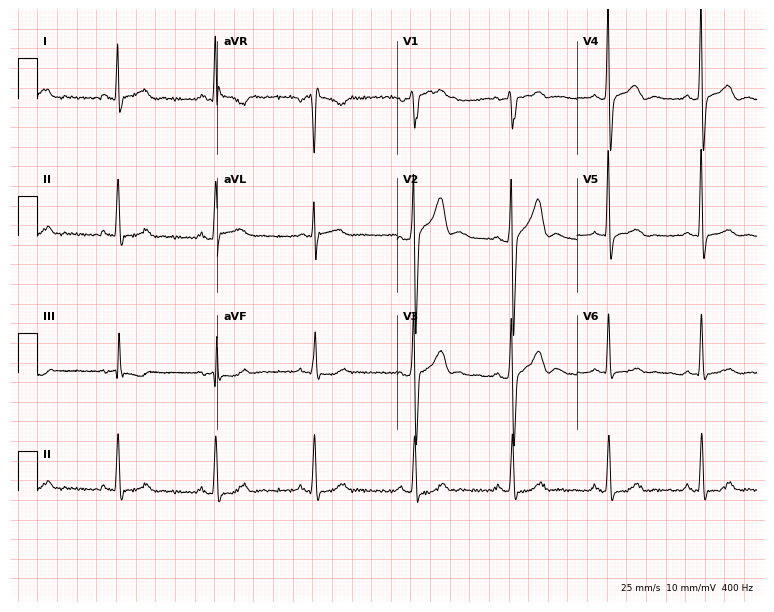
Electrocardiogram (7.3-second recording at 400 Hz), a male patient, 37 years old. Of the six screened findings (first-degree AV block, right bundle branch block, left bundle branch block, sinus bradycardia, atrial fibrillation, sinus tachycardia), none is recorded.